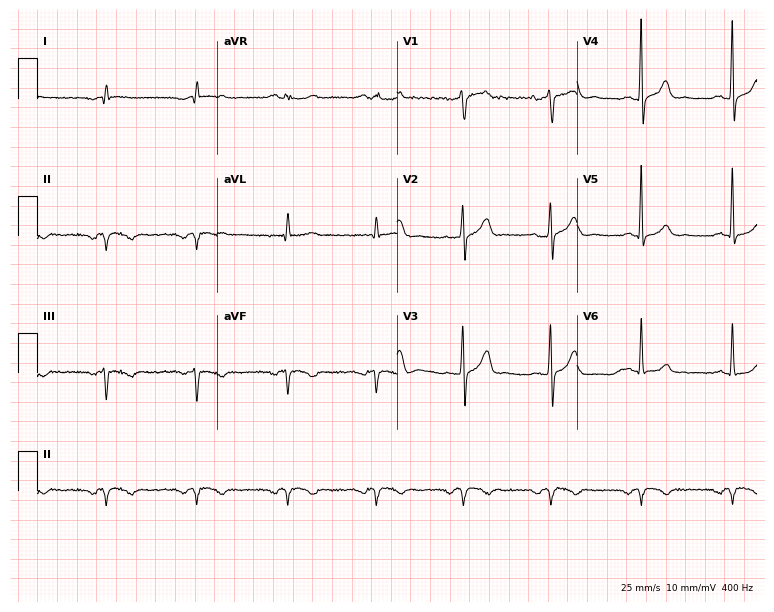
Resting 12-lead electrocardiogram. Patient: a 64-year-old male. None of these six findings is recorded: first-degree AV block, right bundle branch block, left bundle branch block, sinus bradycardia, atrial fibrillation, sinus tachycardia.